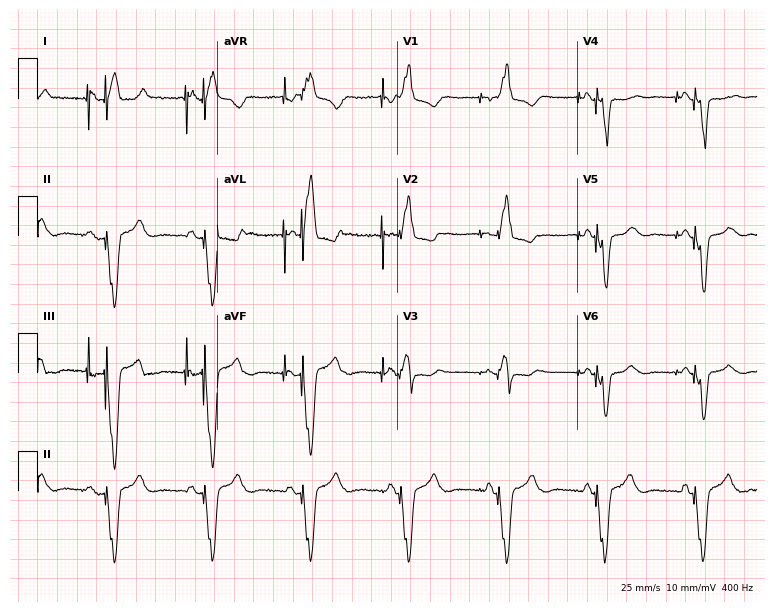
Standard 12-lead ECG recorded from a 62-year-old woman (7.3-second recording at 400 Hz). None of these six findings is recorded: first-degree AV block, right bundle branch block, left bundle branch block, sinus bradycardia, atrial fibrillation, sinus tachycardia.